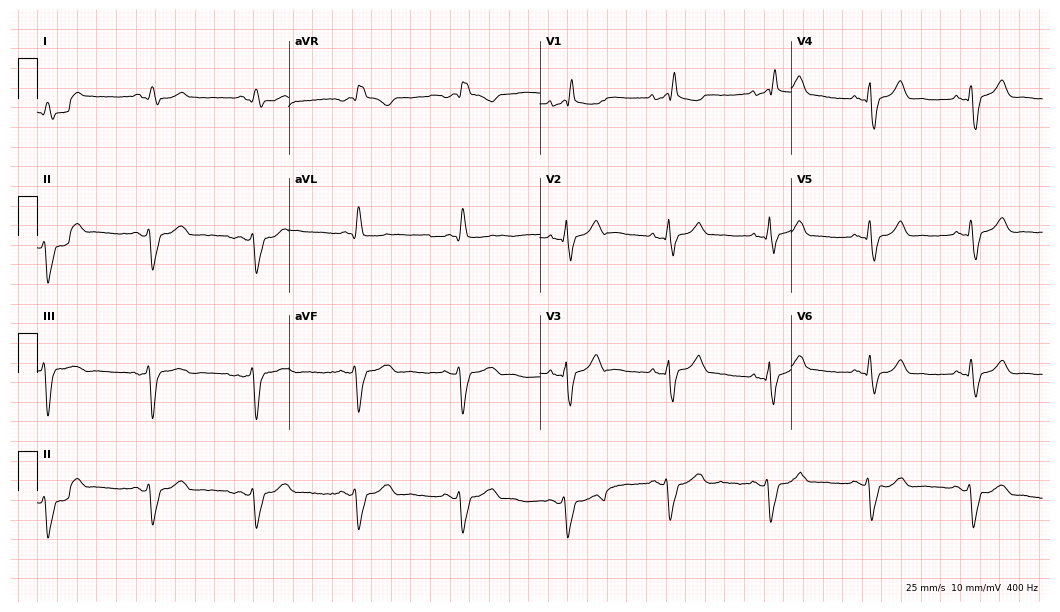
12-lead ECG (10.2-second recording at 400 Hz) from a man, 67 years old. Findings include right bundle branch block.